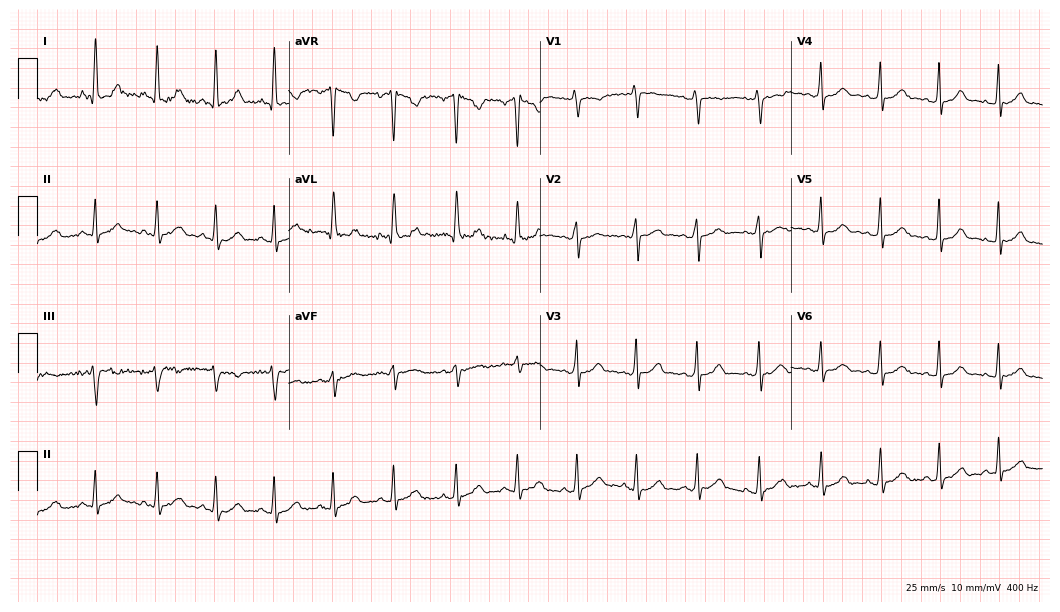
12-lead ECG from a male patient, 28 years old. Recorded interpretation: within normal limits.